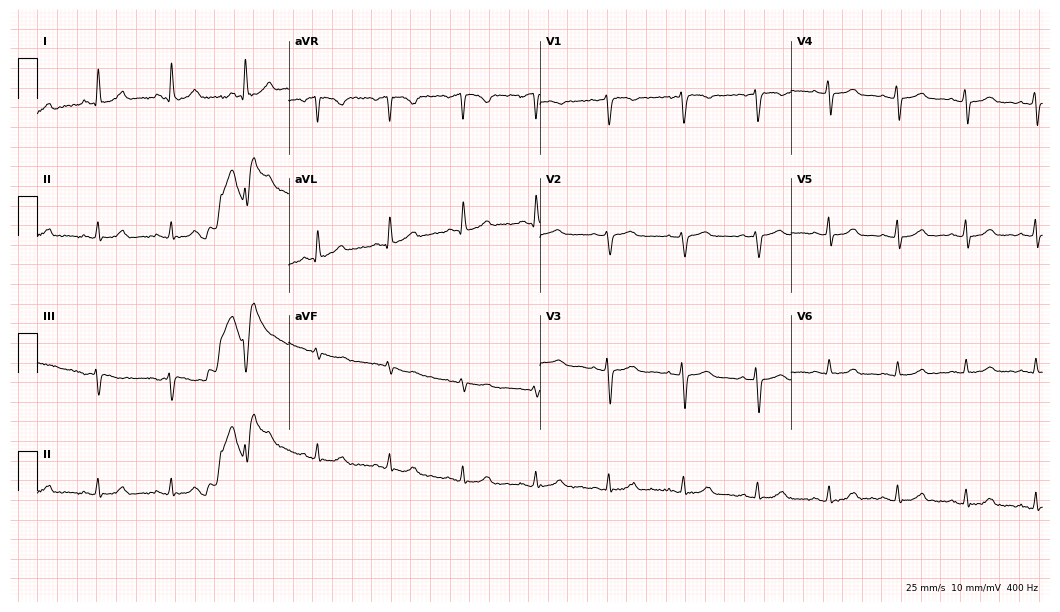
Electrocardiogram, a female, 51 years old. Overall reading on record: normal ECG.